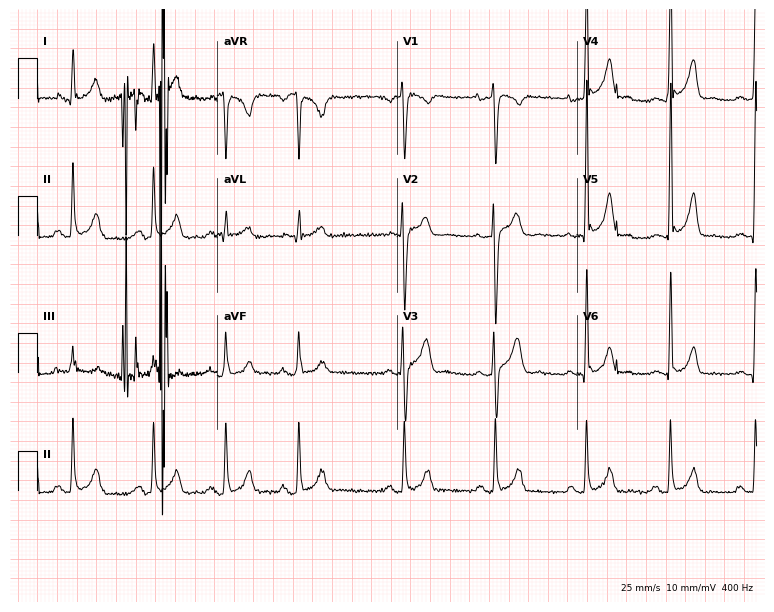
Resting 12-lead electrocardiogram. Patient: a 22-year-old male. None of these six findings is recorded: first-degree AV block, right bundle branch block, left bundle branch block, sinus bradycardia, atrial fibrillation, sinus tachycardia. Findings outside these six are not listed.